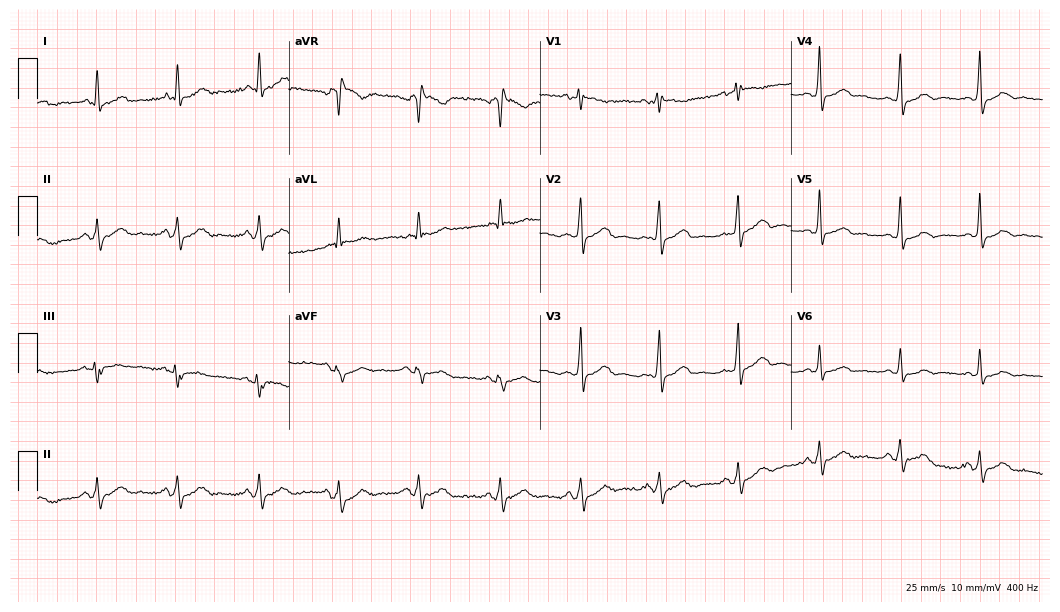
Electrocardiogram (10.2-second recording at 400 Hz), a female, 58 years old. Overall reading on record: normal ECG.